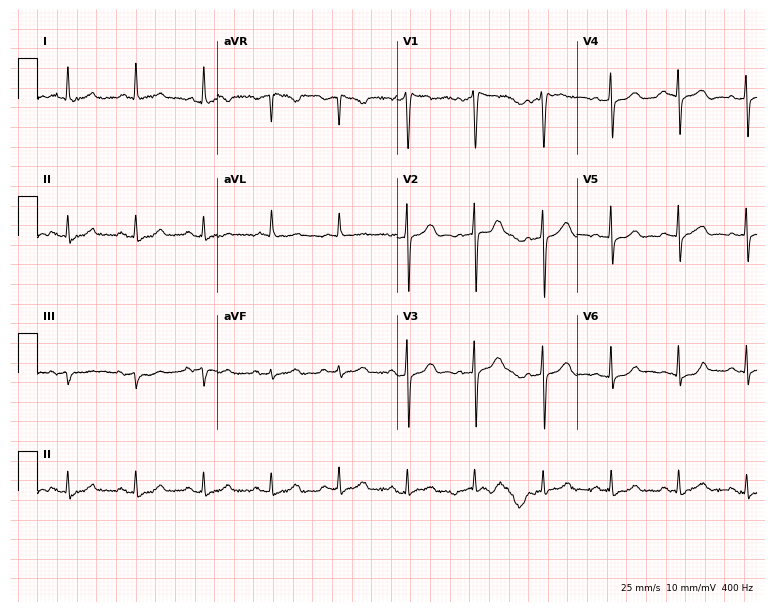
Standard 12-lead ECG recorded from a 75-year-old female (7.3-second recording at 400 Hz). Read as a normal ECG.